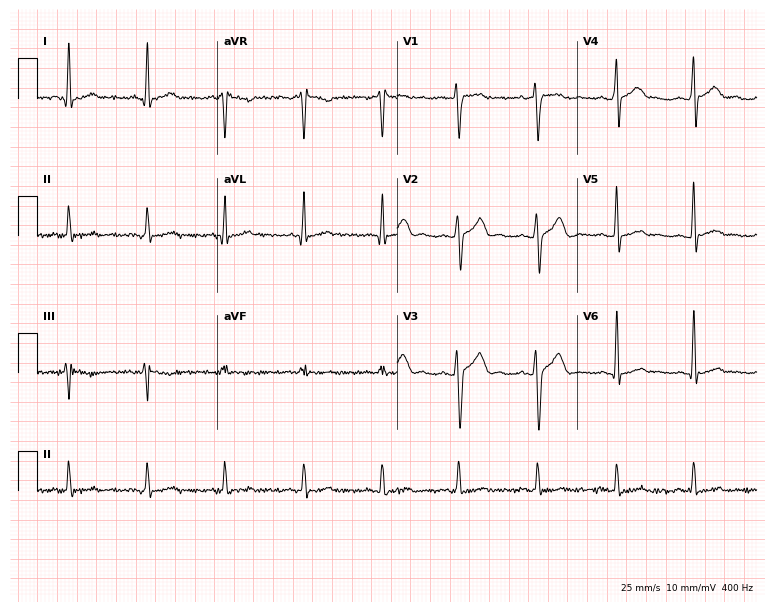
12-lead ECG (7.3-second recording at 400 Hz) from a 22-year-old male patient. Labelled as a normal ECG.